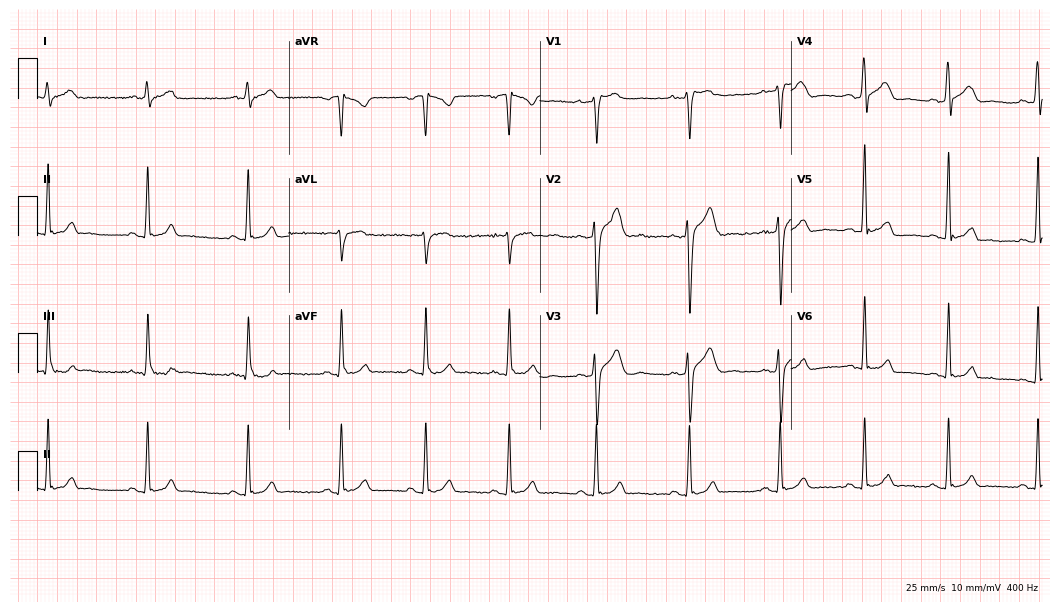
12-lead ECG from a 28-year-old male. No first-degree AV block, right bundle branch block, left bundle branch block, sinus bradycardia, atrial fibrillation or sinus tachycardia recorded for this tracing. Only these six findings were labelled.